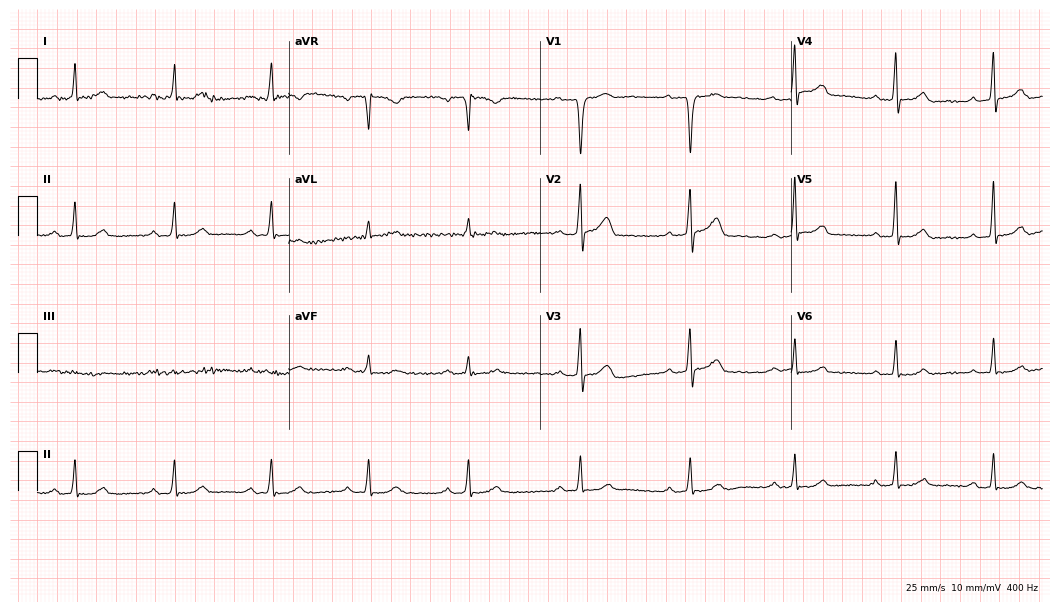
ECG — a male, 68 years old. Findings include first-degree AV block.